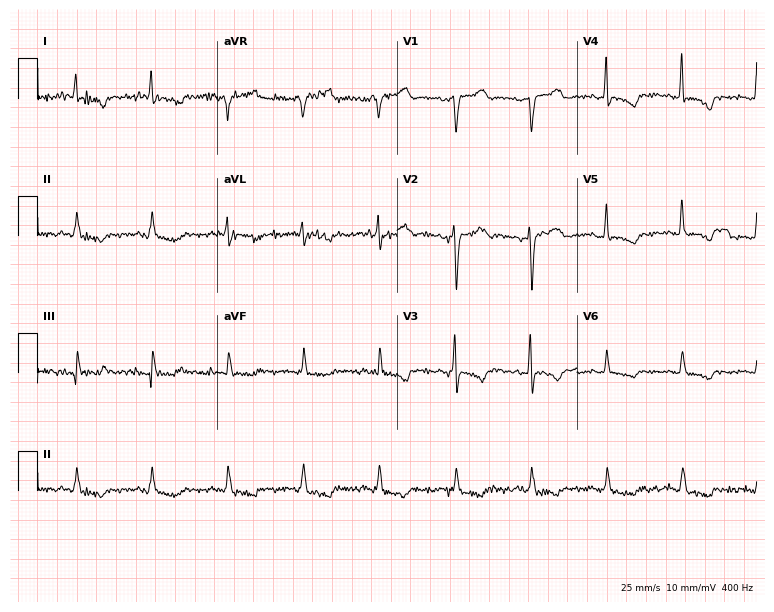
Electrocardiogram, a 61-year-old female patient. Of the six screened findings (first-degree AV block, right bundle branch block, left bundle branch block, sinus bradycardia, atrial fibrillation, sinus tachycardia), none is recorded. Only these six findings were labelled.